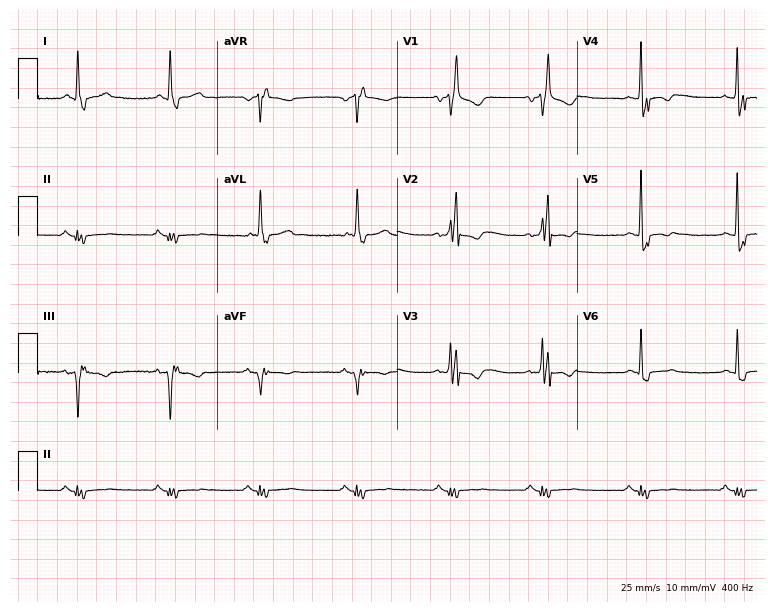
ECG — a male, 64 years old. Screened for six findings — first-degree AV block, right bundle branch block, left bundle branch block, sinus bradycardia, atrial fibrillation, sinus tachycardia — none is recorded.